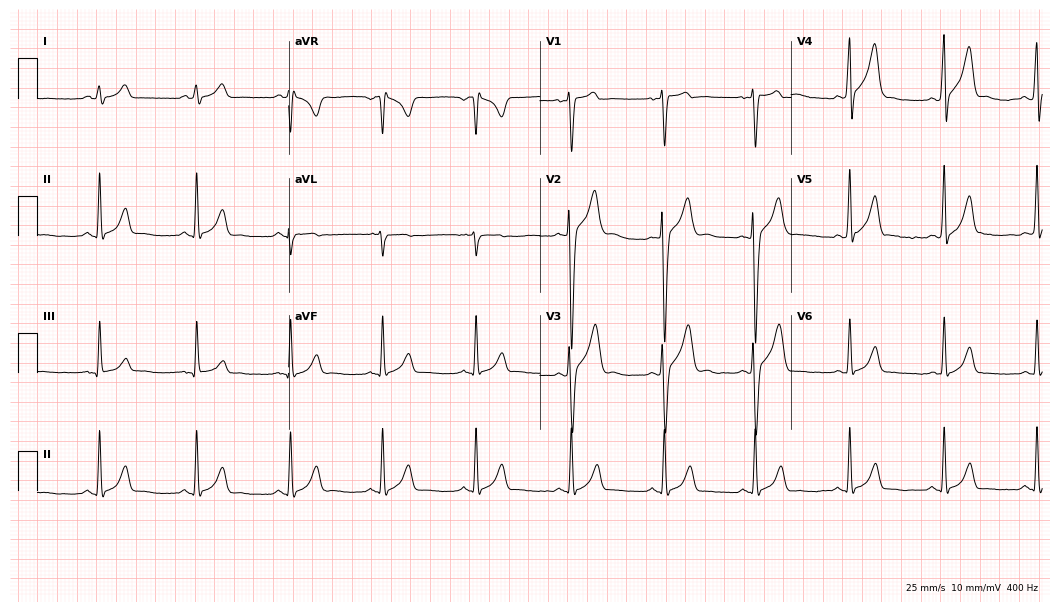
ECG — a male, 23 years old. Screened for six findings — first-degree AV block, right bundle branch block (RBBB), left bundle branch block (LBBB), sinus bradycardia, atrial fibrillation (AF), sinus tachycardia — none is recorded. Other findings, if any, are not listed.